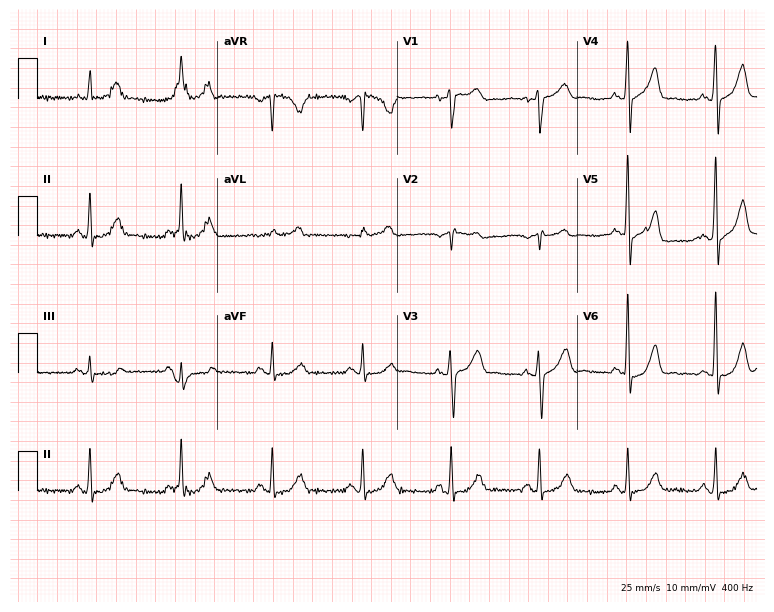
ECG — a male, 55 years old. Labelled as a normal ECG.